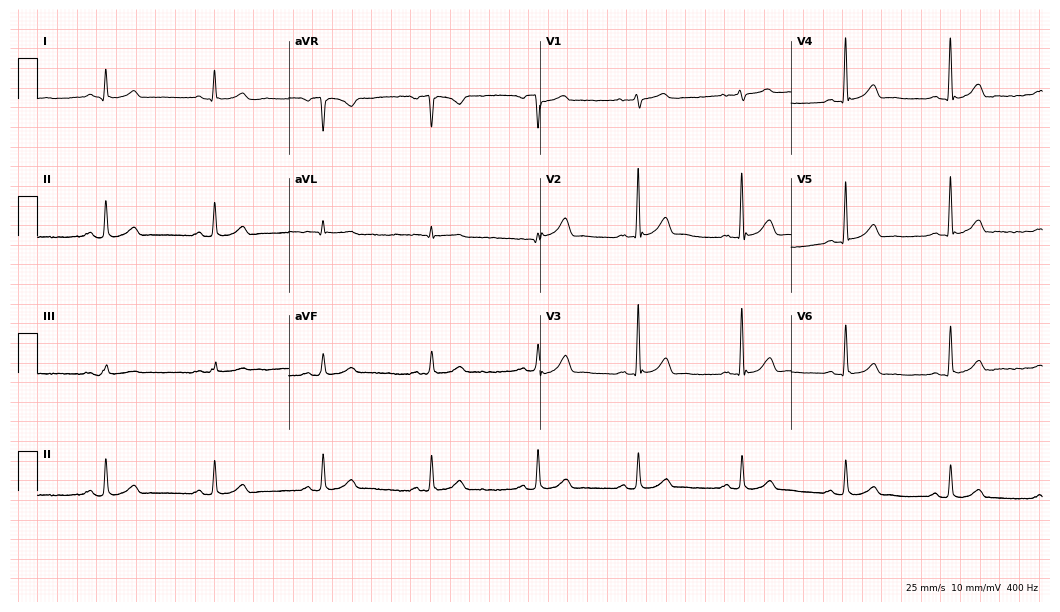
12-lead ECG (10.2-second recording at 400 Hz) from a man, 77 years old. Labelled as a normal ECG.